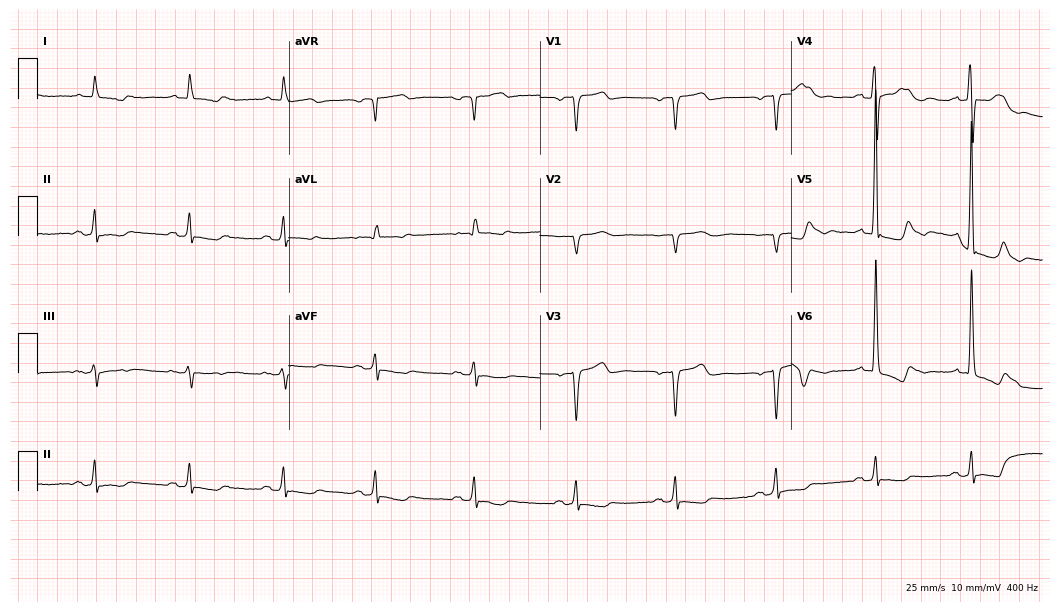
Standard 12-lead ECG recorded from a male, 74 years old (10.2-second recording at 400 Hz). None of these six findings is recorded: first-degree AV block, right bundle branch block (RBBB), left bundle branch block (LBBB), sinus bradycardia, atrial fibrillation (AF), sinus tachycardia. Other findings, if any, are not listed.